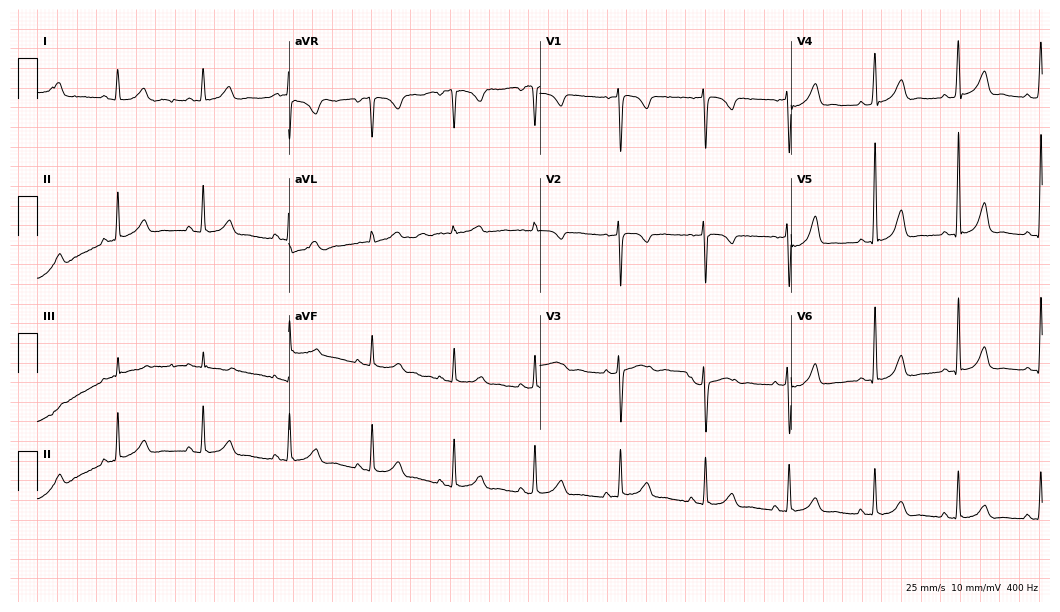
Electrocardiogram (10.2-second recording at 400 Hz), a woman, 26 years old. Overall reading on record: normal ECG.